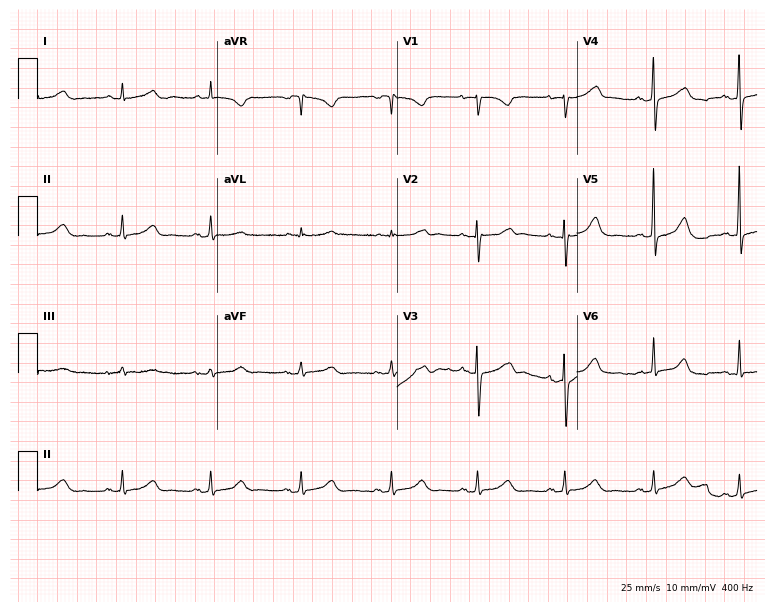
12-lead ECG (7.3-second recording at 400 Hz) from a 45-year-old female patient. Labelled as a normal ECG.